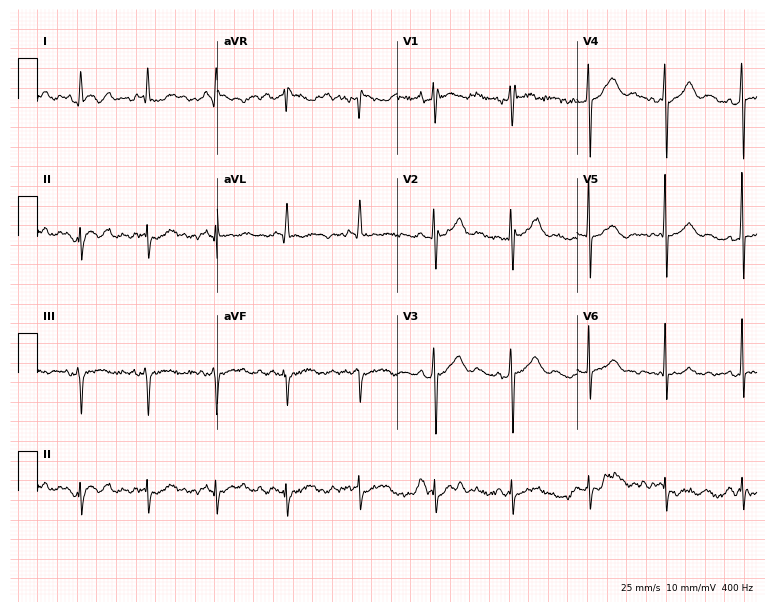
ECG (7.3-second recording at 400 Hz) — a man, 69 years old. Screened for six findings — first-degree AV block, right bundle branch block, left bundle branch block, sinus bradycardia, atrial fibrillation, sinus tachycardia — none is recorded. Findings outside these six are not listed.